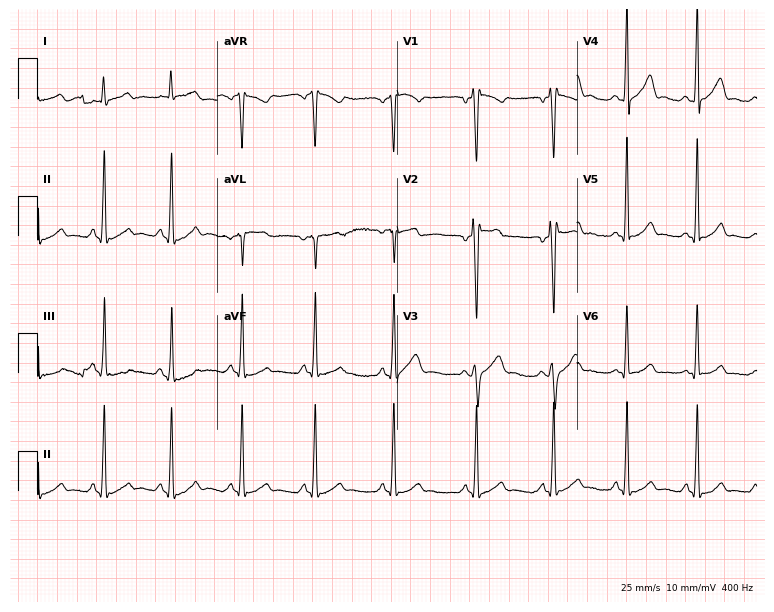
Electrocardiogram (7.3-second recording at 400 Hz), a man, 21 years old. Of the six screened findings (first-degree AV block, right bundle branch block, left bundle branch block, sinus bradycardia, atrial fibrillation, sinus tachycardia), none is recorded.